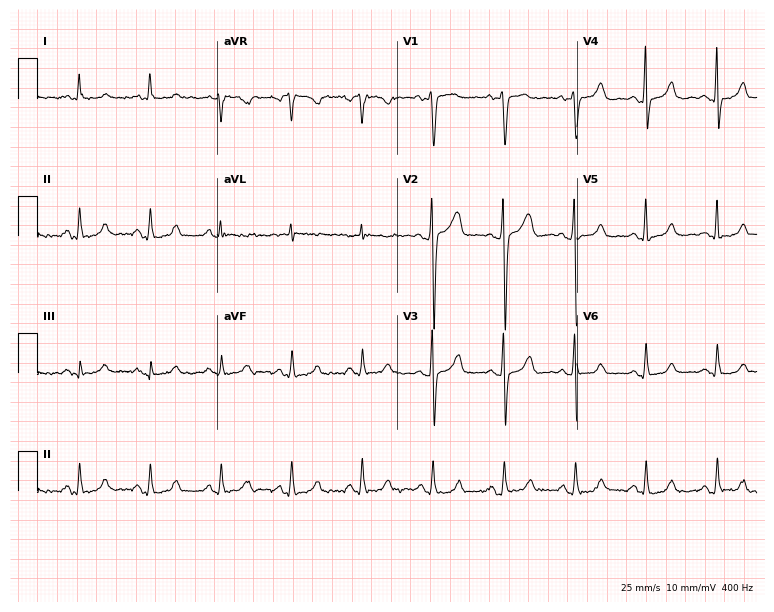
Electrocardiogram, a 44-year-old female. Overall reading on record: normal ECG.